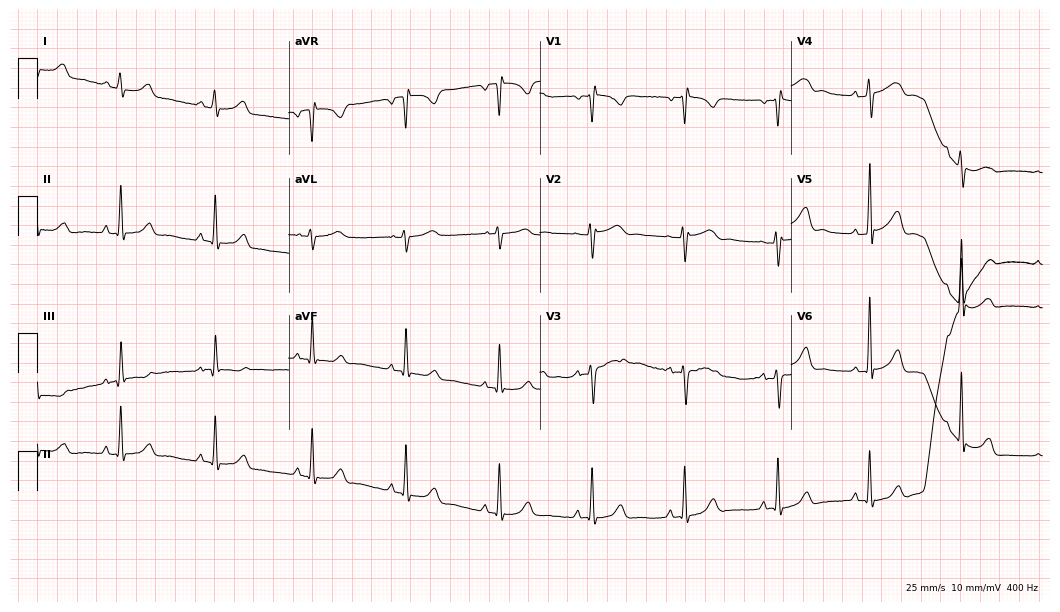
Electrocardiogram (10.2-second recording at 400 Hz), a 25-year-old woman. Of the six screened findings (first-degree AV block, right bundle branch block, left bundle branch block, sinus bradycardia, atrial fibrillation, sinus tachycardia), none is recorded. Only these six findings were labelled.